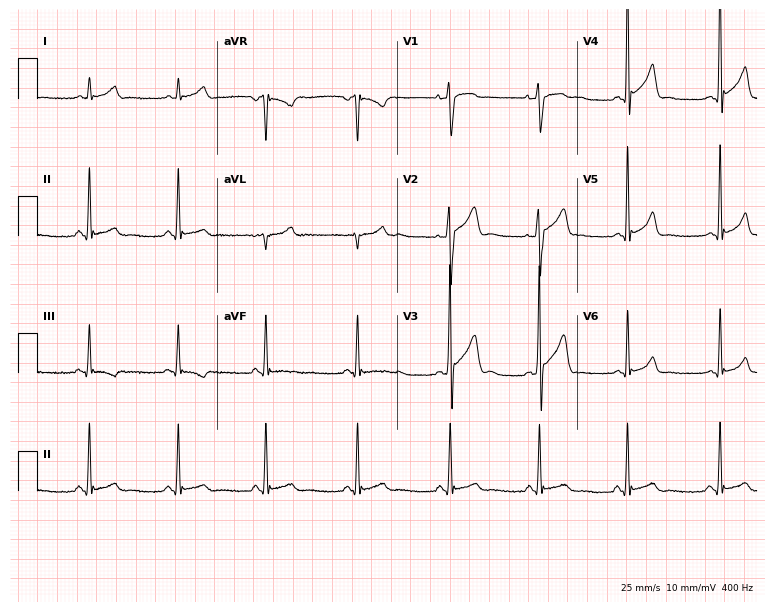
12-lead ECG from a male patient, 20 years old. Screened for six findings — first-degree AV block, right bundle branch block (RBBB), left bundle branch block (LBBB), sinus bradycardia, atrial fibrillation (AF), sinus tachycardia — none is recorded. Only these six findings were labelled.